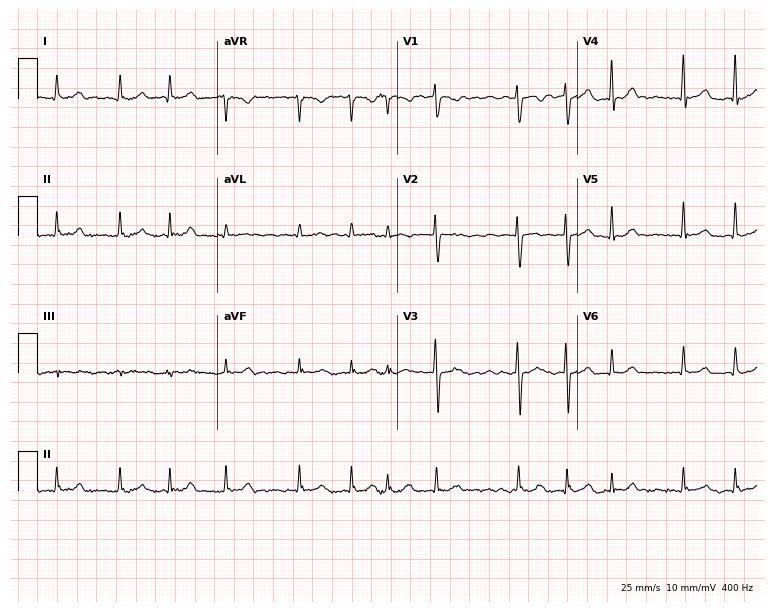
Electrocardiogram, a female, 76 years old. Of the six screened findings (first-degree AV block, right bundle branch block (RBBB), left bundle branch block (LBBB), sinus bradycardia, atrial fibrillation (AF), sinus tachycardia), none is recorded.